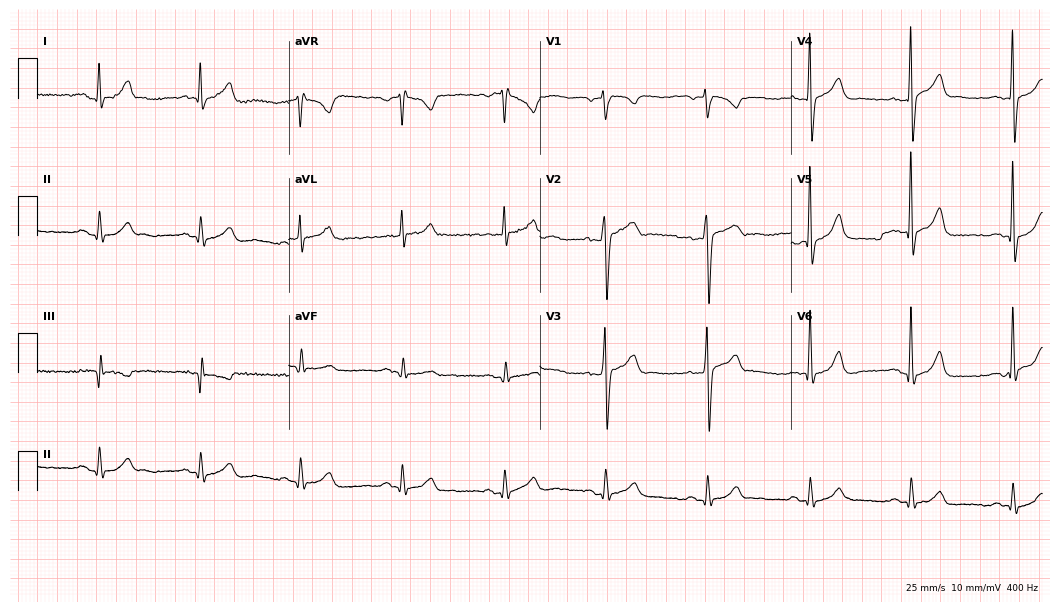
12-lead ECG from a male patient, 51 years old. Labelled as a normal ECG.